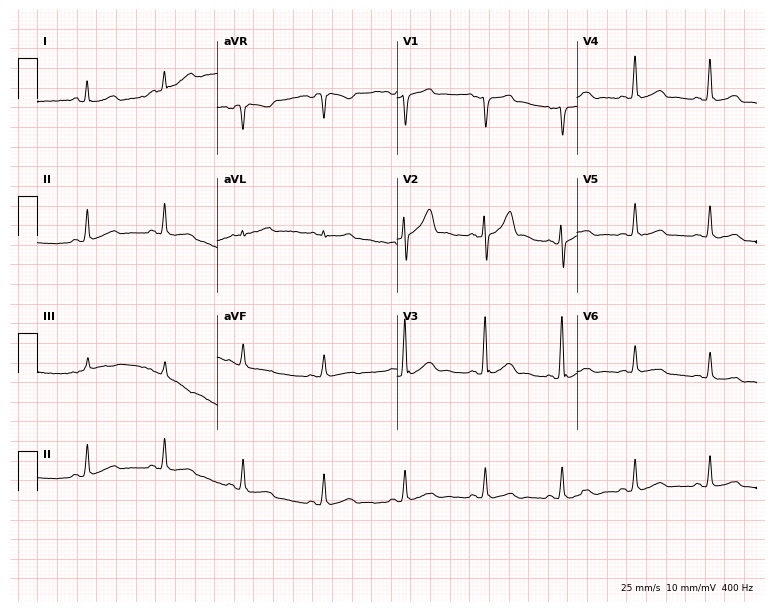
12-lead ECG from a 47-year-old male patient (7.3-second recording at 400 Hz). No first-degree AV block, right bundle branch block, left bundle branch block, sinus bradycardia, atrial fibrillation or sinus tachycardia recorded for this tracing.